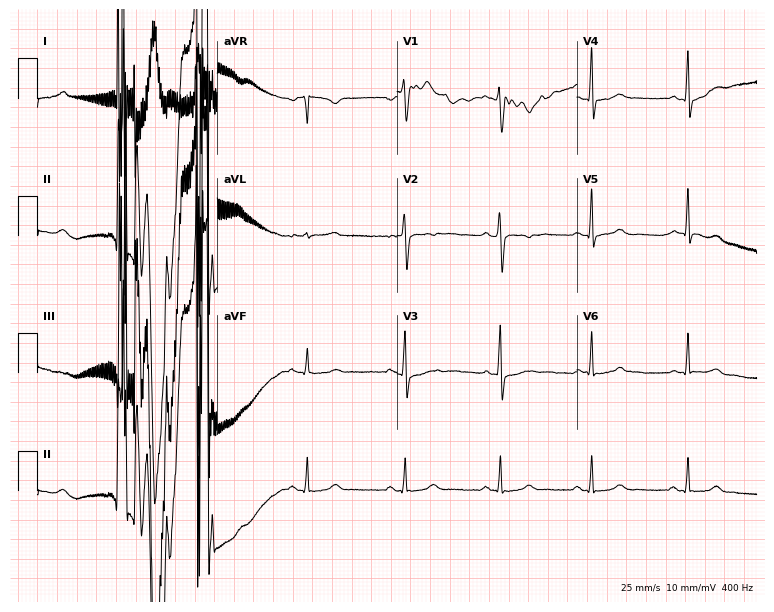
Resting 12-lead electrocardiogram. Patient: a 31-year-old female. None of these six findings is recorded: first-degree AV block, right bundle branch block (RBBB), left bundle branch block (LBBB), sinus bradycardia, atrial fibrillation (AF), sinus tachycardia.